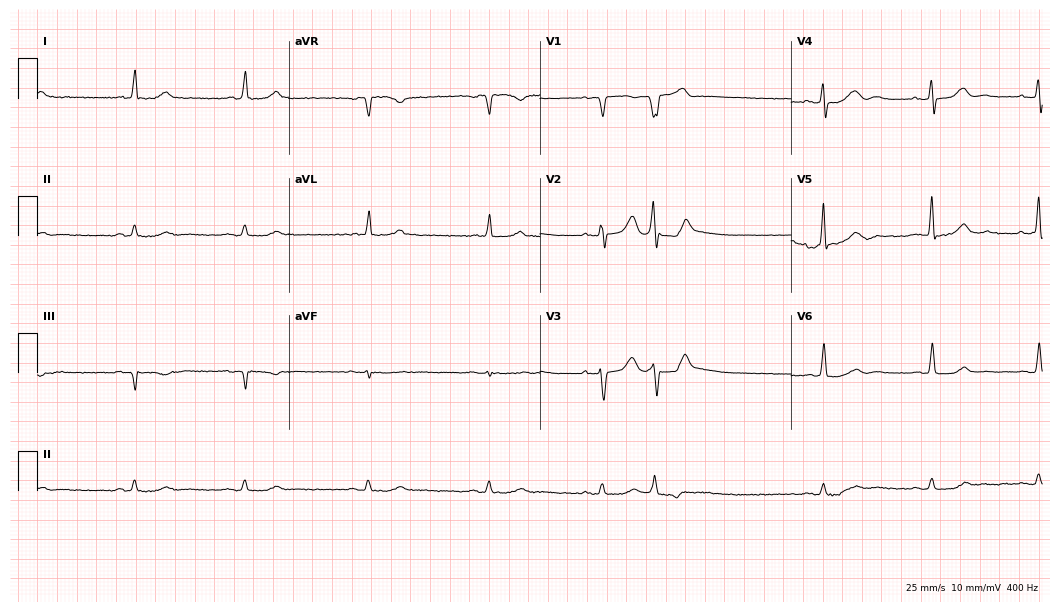
Standard 12-lead ECG recorded from an 83-year-old male (10.2-second recording at 400 Hz). Read as a normal ECG.